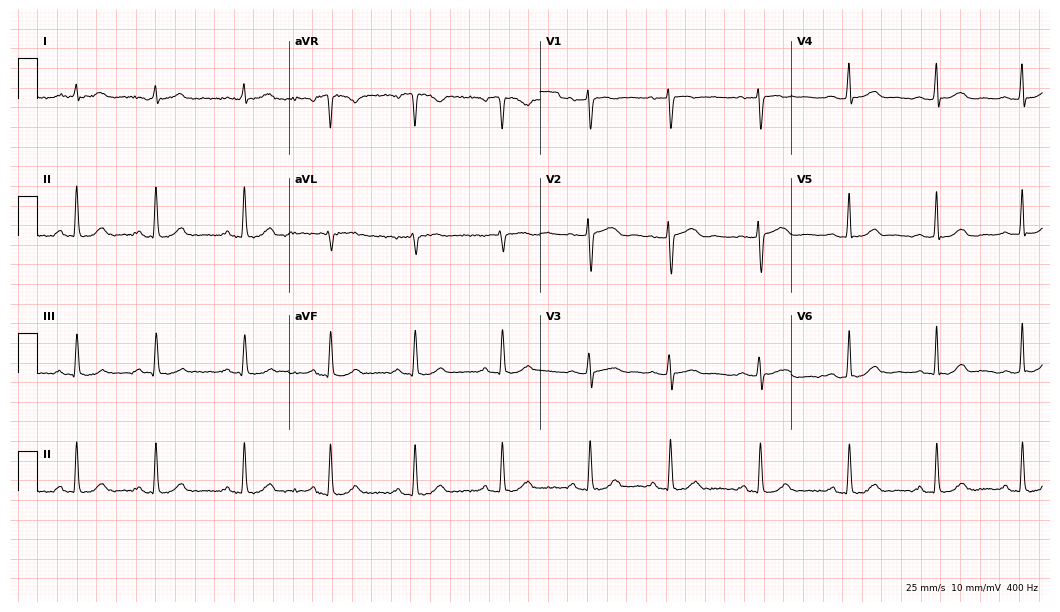
Electrocardiogram, a female, 41 years old. Overall reading on record: normal ECG.